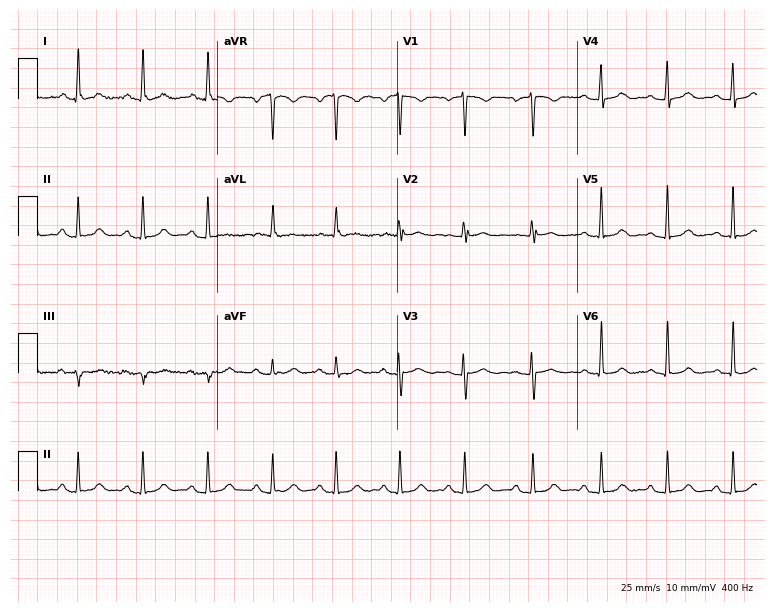
12-lead ECG from a female patient, 39 years old. Labelled as a normal ECG.